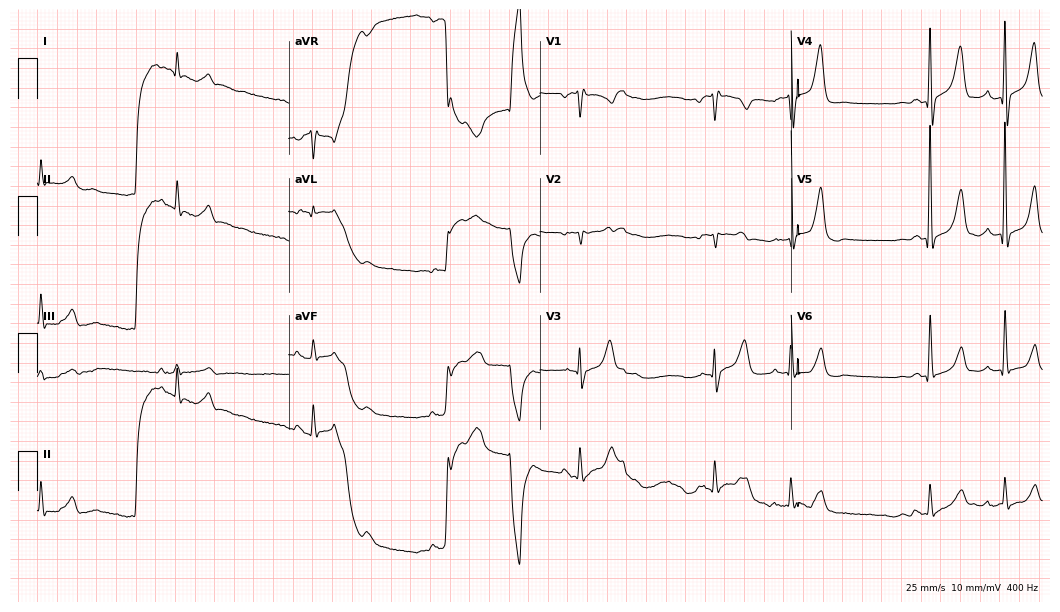
ECG (10.2-second recording at 400 Hz) — a male, 82 years old. Screened for six findings — first-degree AV block, right bundle branch block (RBBB), left bundle branch block (LBBB), sinus bradycardia, atrial fibrillation (AF), sinus tachycardia — none is recorded.